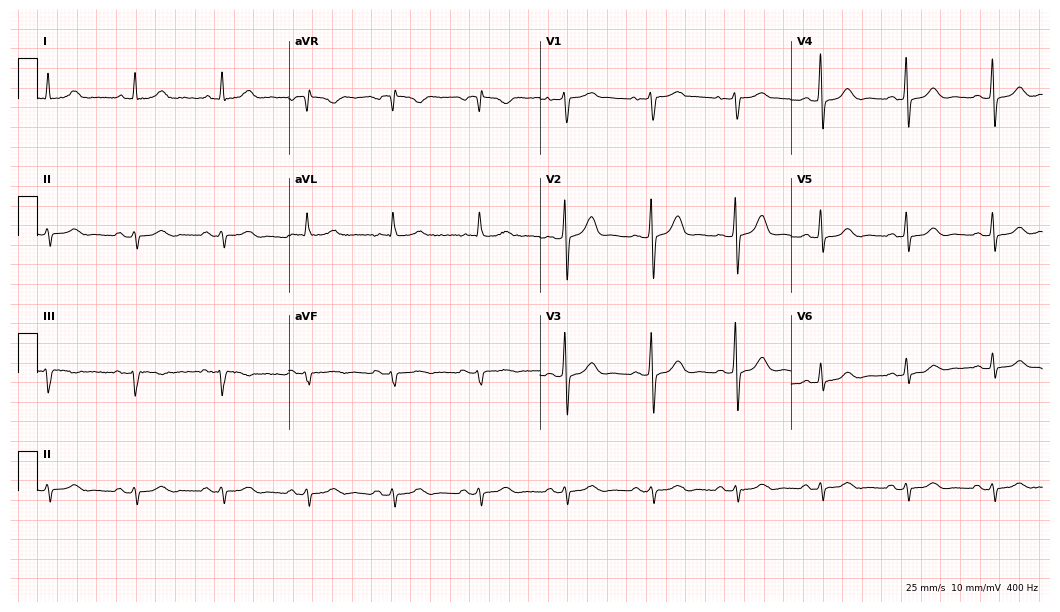
12-lead ECG from a 69-year-old female patient. No first-degree AV block, right bundle branch block (RBBB), left bundle branch block (LBBB), sinus bradycardia, atrial fibrillation (AF) or sinus tachycardia recorded for this tracing. Other findings, if any, are not listed.